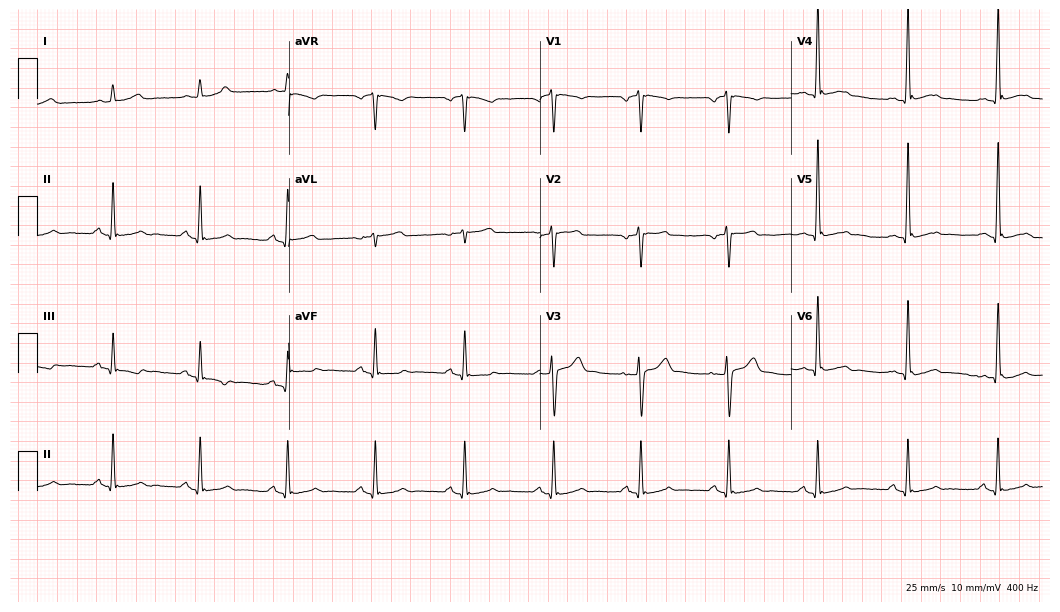
12-lead ECG from a male patient, 45 years old. No first-degree AV block, right bundle branch block, left bundle branch block, sinus bradycardia, atrial fibrillation or sinus tachycardia recorded for this tracing.